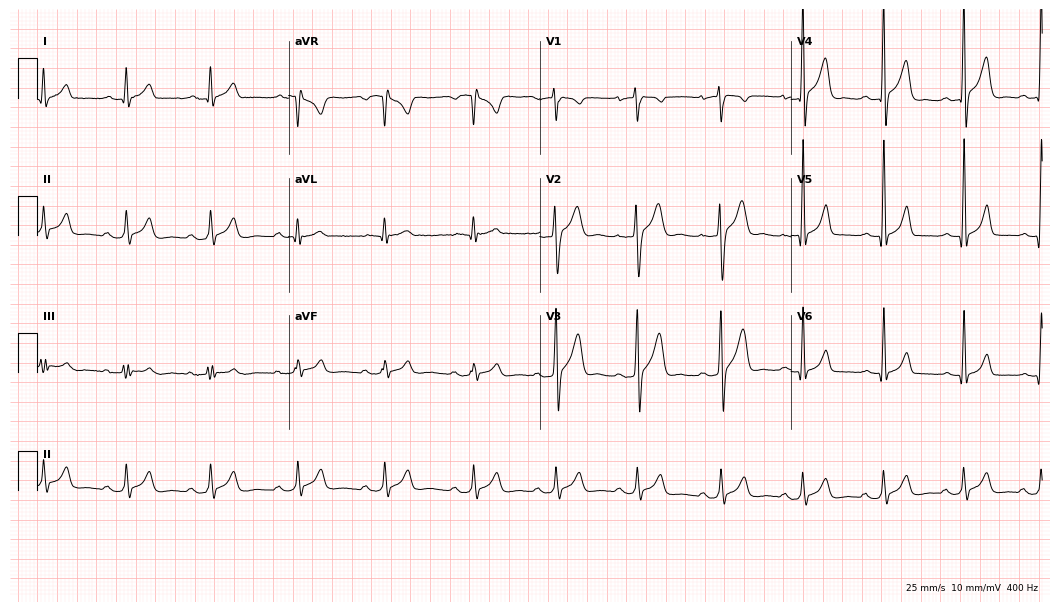
Standard 12-lead ECG recorded from a 23-year-old man. None of these six findings is recorded: first-degree AV block, right bundle branch block, left bundle branch block, sinus bradycardia, atrial fibrillation, sinus tachycardia. Other findings, if any, are not listed.